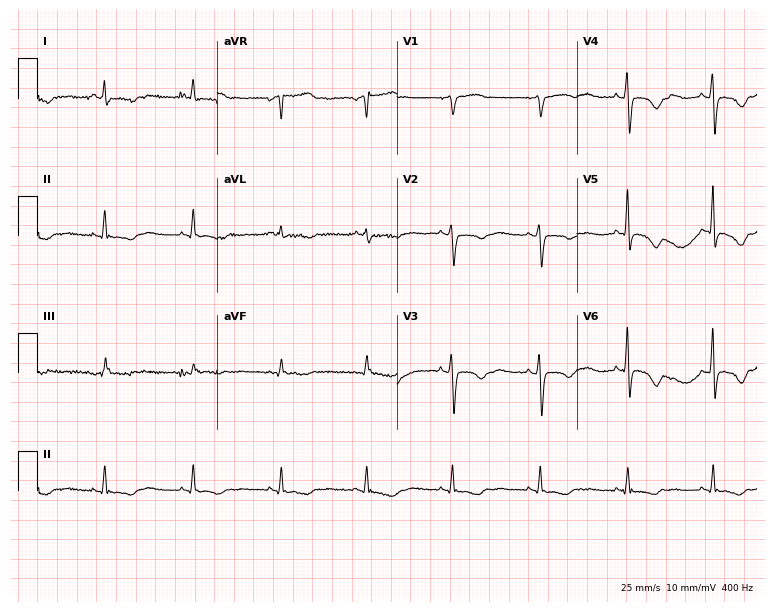
ECG — a 74-year-old woman. Screened for six findings — first-degree AV block, right bundle branch block (RBBB), left bundle branch block (LBBB), sinus bradycardia, atrial fibrillation (AF), sinus tachycardia — none is recorded. Only these six findings were labelled.